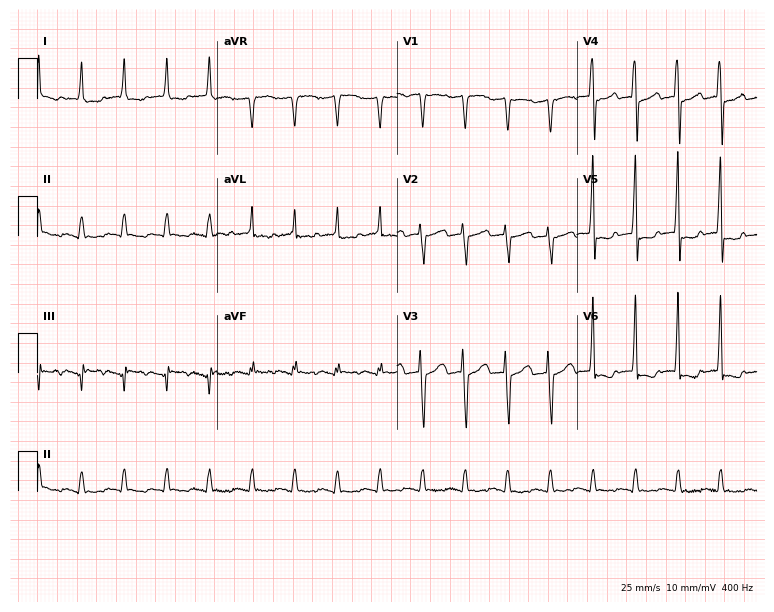
Electrocardiogram, an 82-year-old woman. Interpretation includes sinus tachycardia (a sinus rate of 100 beats per minute or more).